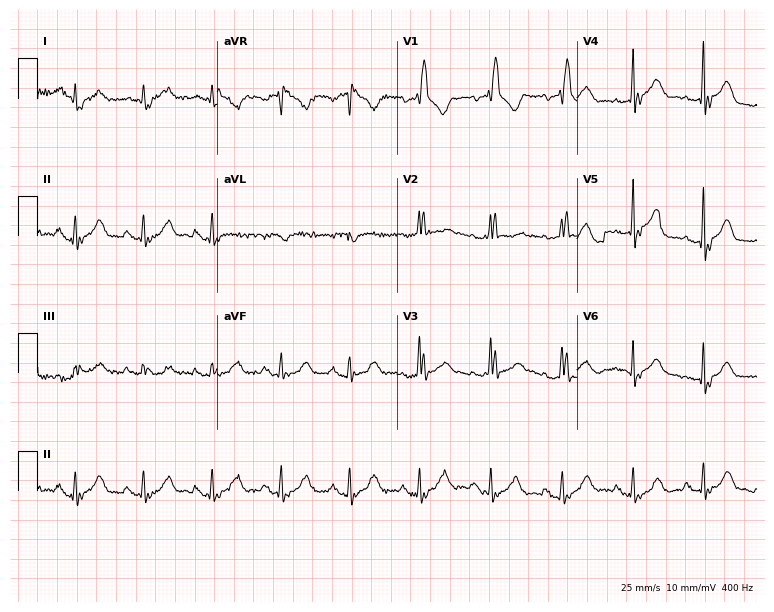
Standard 12-lead ECG recorded from a 73-year-old male patient. The tracing shows right bundle branch block.